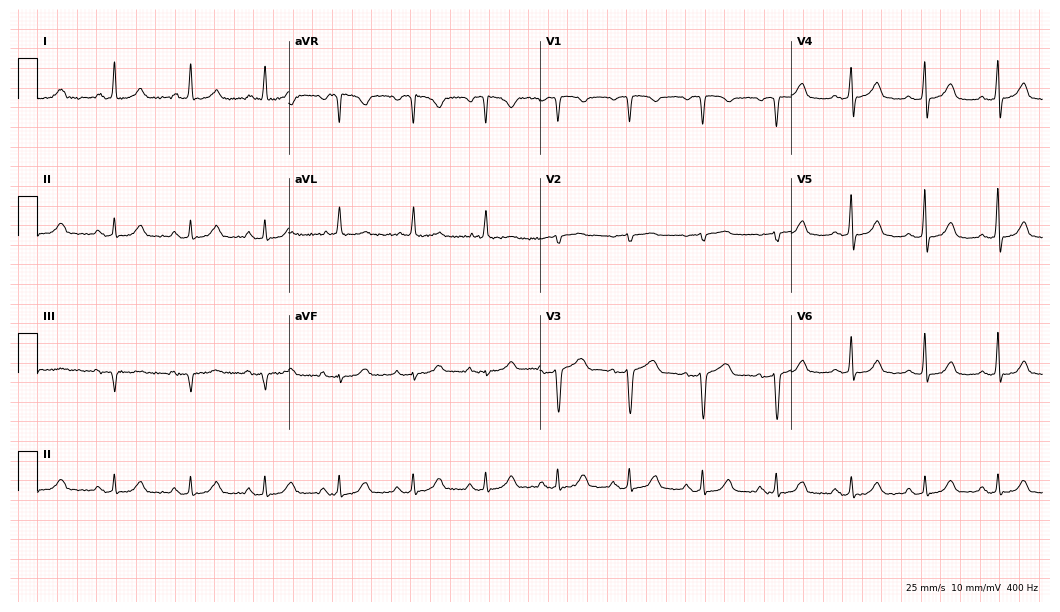
Electrocardiogram, a female, 59 years old. Of the six screened findings (first-degree AV block, right bundle branch block (RBBB), left bundle branch block (LBBB), sinus bradycardia, atrial fibrillation (AF), sinus tachycardia), none is recorded. Other findings, if any, are not listed.